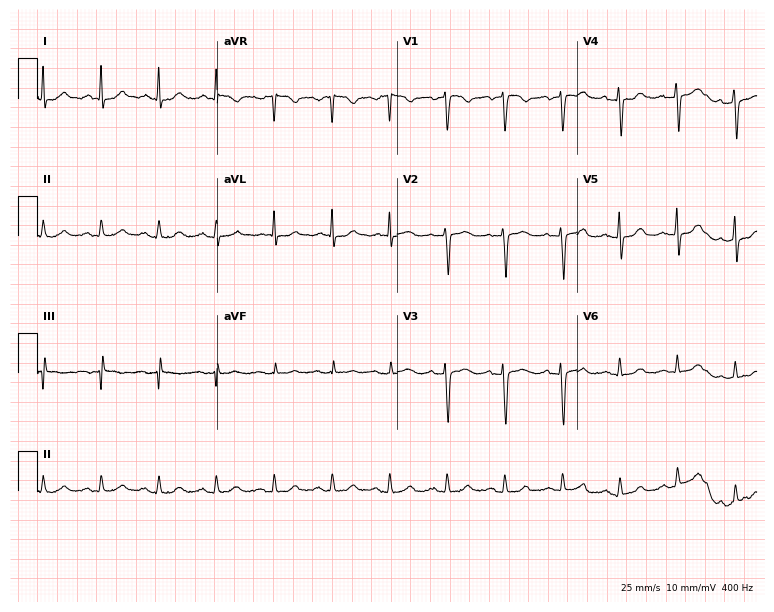
Electrocardiogram (7.3-second recording at 400 Hz), a 45-year-old woman. Overall reading on record: normal ECG.